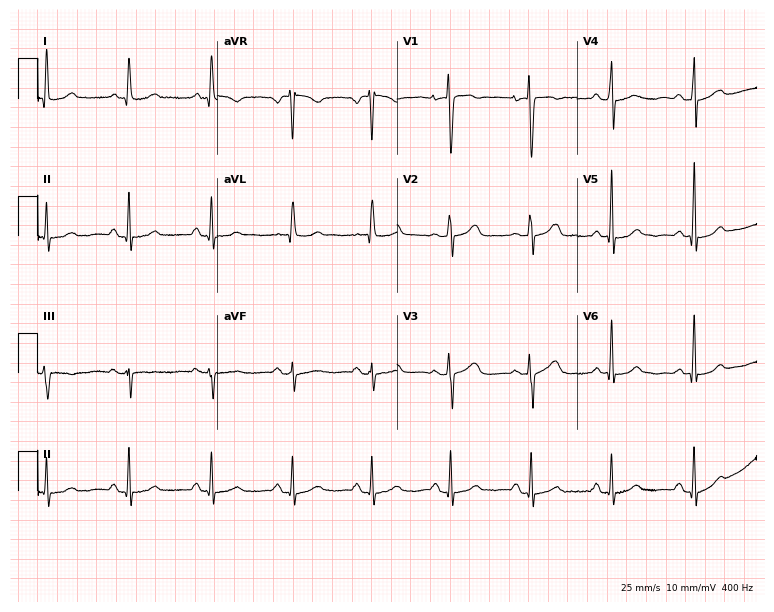
12-lead ECG from a female patient, 57 years old. Labelled as a normal ECG.